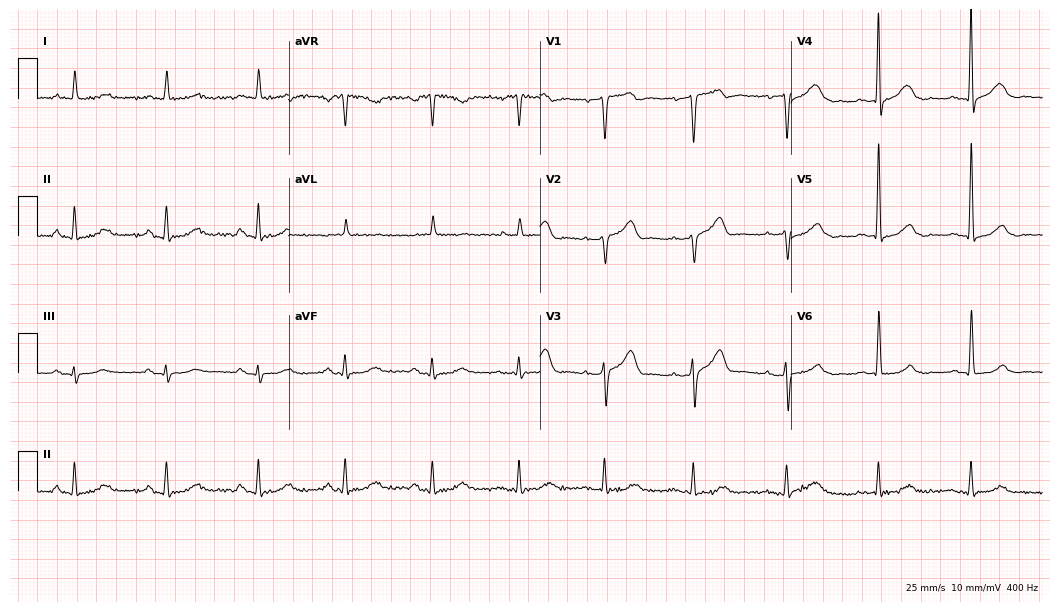
12-lead ECG (10.2-second recording at 400 Hz) from an 80-year-old male. Labelled as a normal ECG.